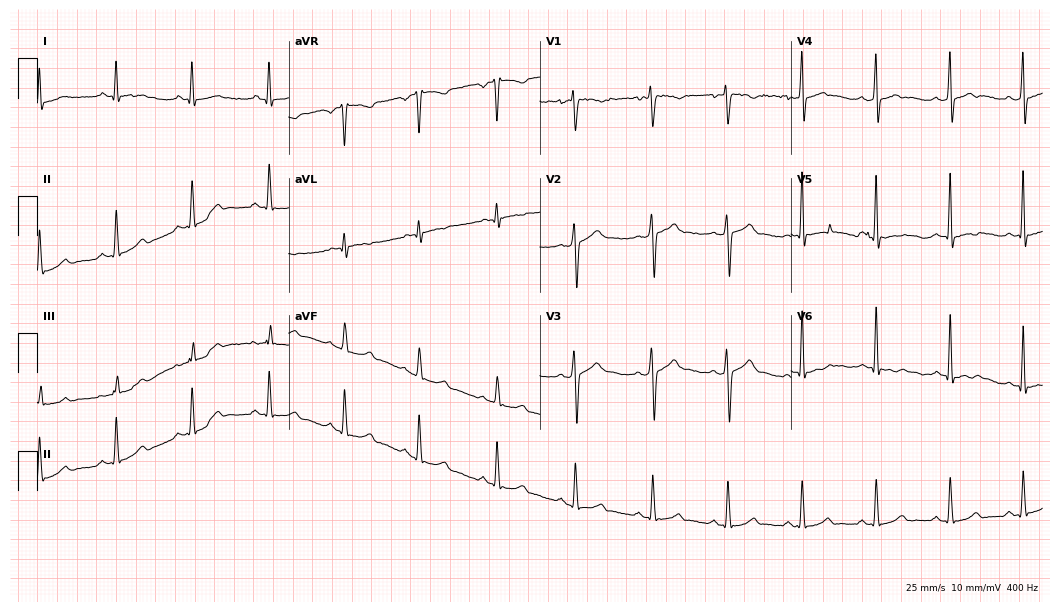
Electrocardiogram, a 25-year-old female. Of the six screened findings (first-degree AV block, right bundle branch block, left bundle branch block, sinus bradycardia, atrial fibrillation, sinus tachycardia), none is recorded. Only these six findings were labelled.